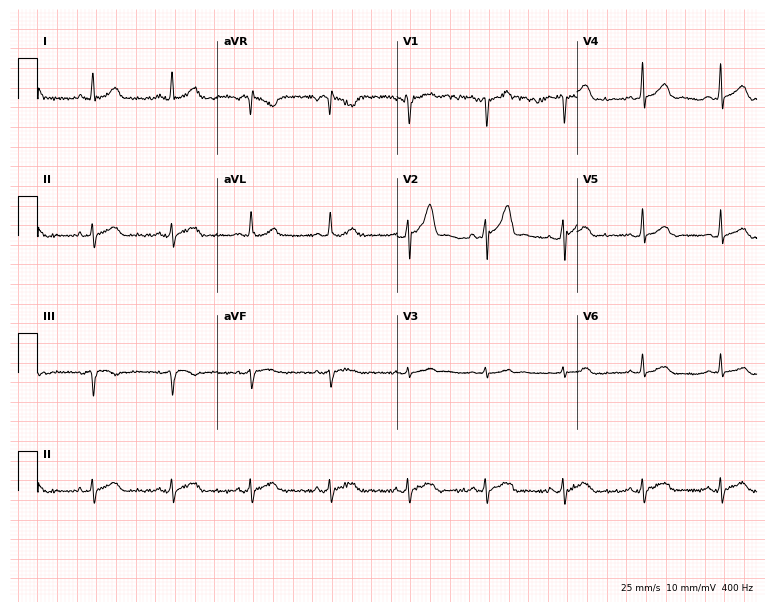
12-lead ECG from a 27-year-old man. Labelled as a normal ECG.